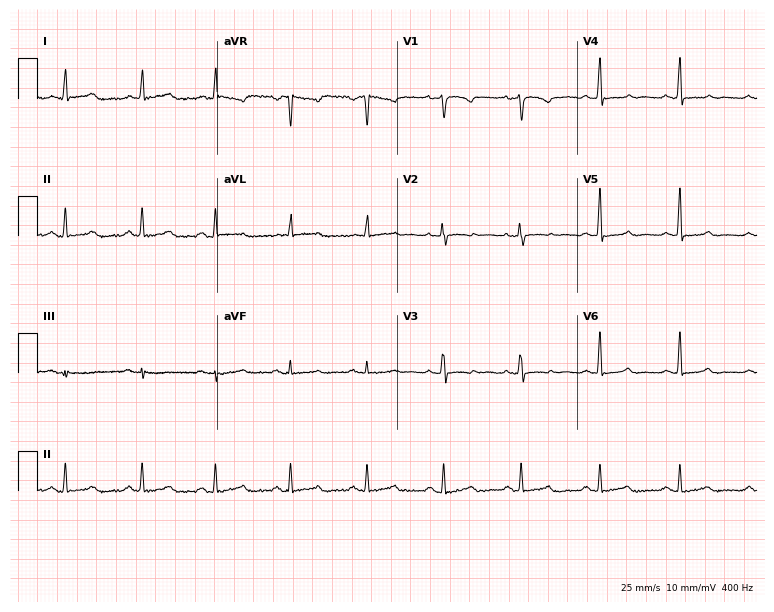
Electrocardiogram, a female, 53 years old. Of the six screened findings (first-degree AV block, right bundle branch block (RBBB), left bundle branch block (LBBB), sinus bradycardia, atrial fibrillation (AF), sinus tachycardia), none is recorded.